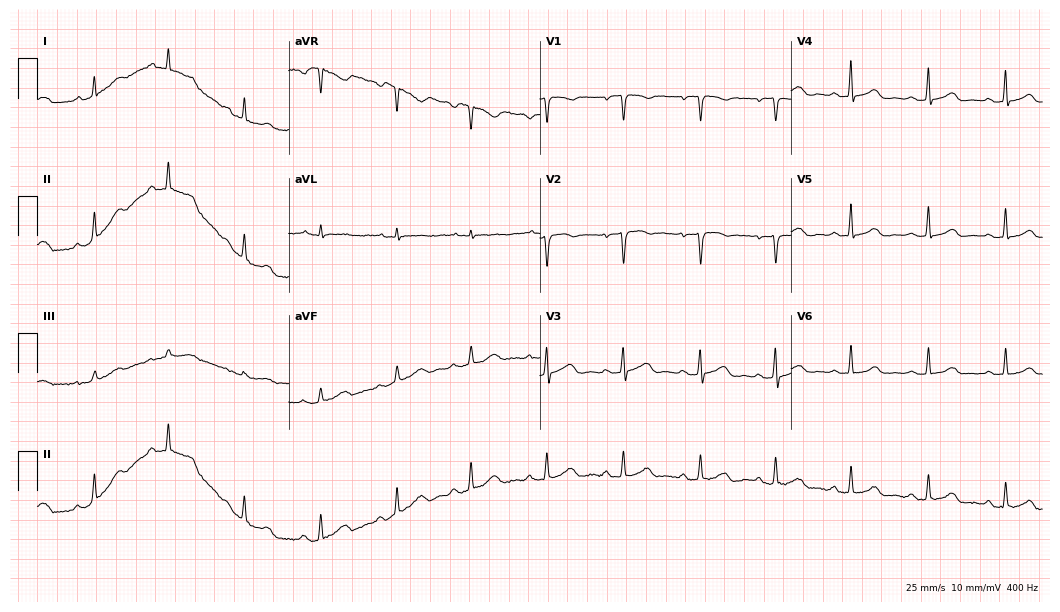
Electrocardiogram (10.2-second recording at 400 Hz), a 47-year-old female. Overall reading on record: normal ECG.